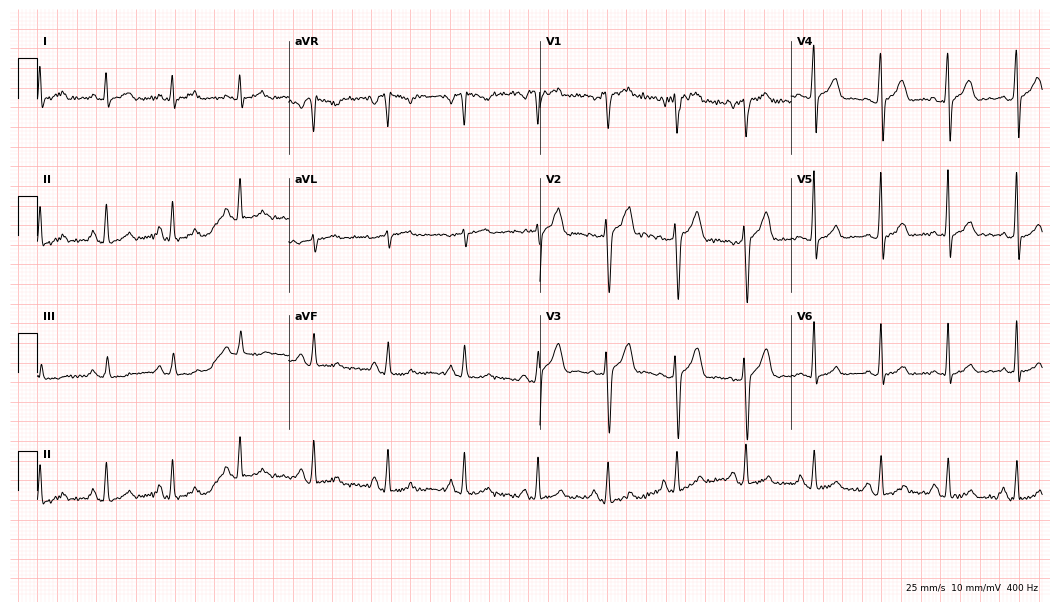
Electrocardiogram, a 33-year-old man. Overall reading on record: normal ECG.